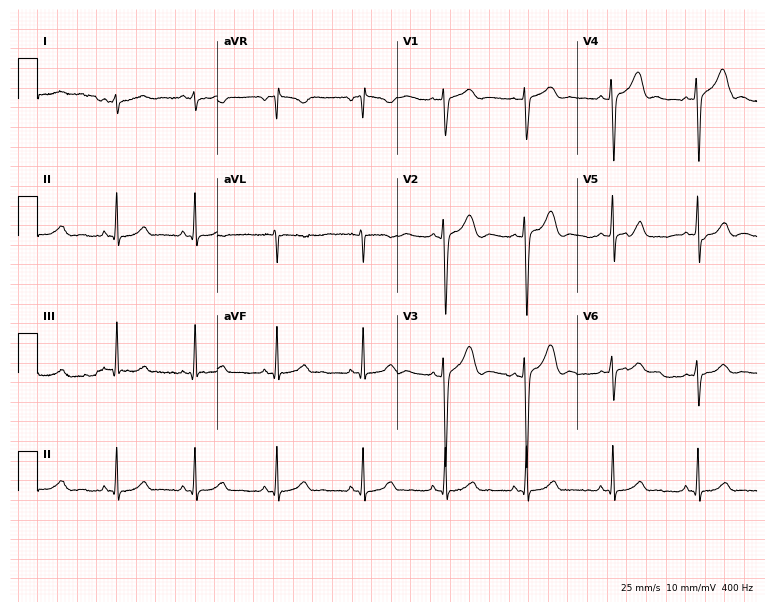
Electrocardiogram (7.3-second recording at 400 Hz), a female patient, 17 years old. Of the six screened findings (first-degree AV block, right bundle branch block, left bundle branch block, sinus bradycardia, atrial fibrillation, sinus tachycardia), none is recorded.